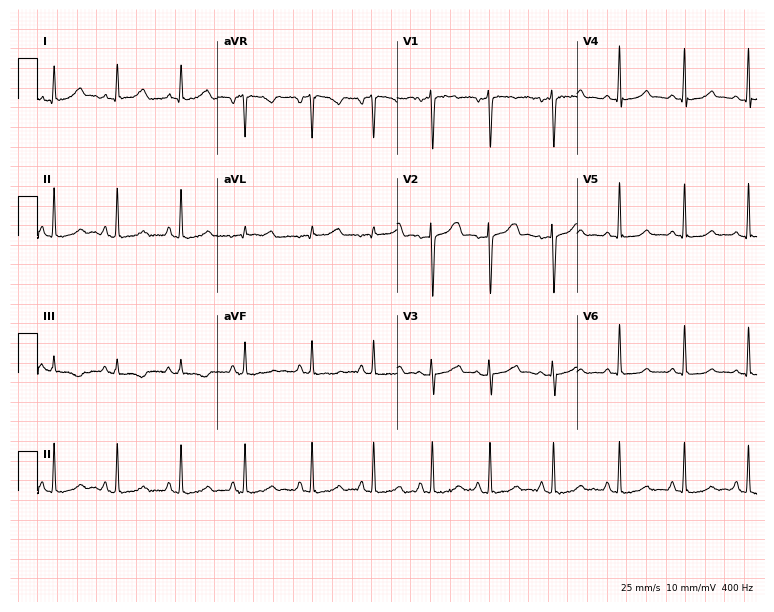
Standard 12-lead ECG recorded from a woman, 25 years old (7.3-second recording at 400 Hz). None of these six findings is recorded: first-degree AV block, right bundle branch block, left bundle branch block, sinus bradycardia, atrial fibrillation, sinus tachycardia.